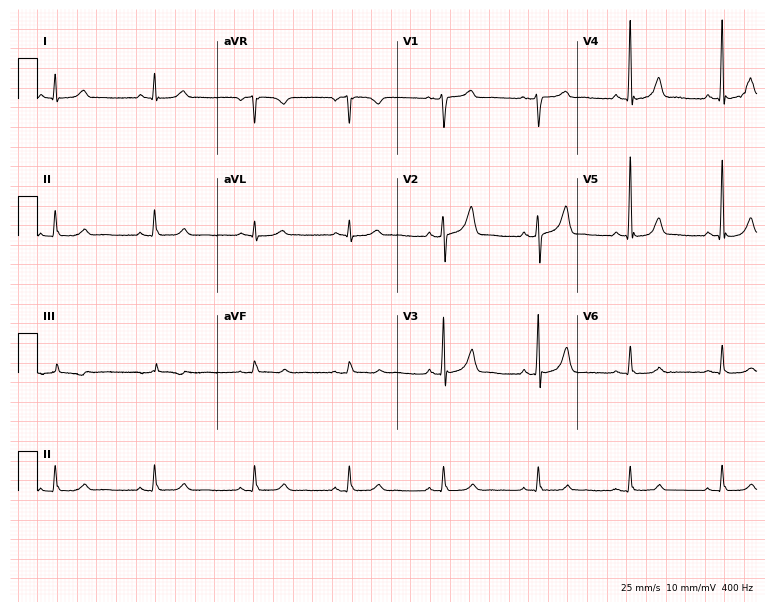
12-lead ECG from a male, 56 years old. Recorded interpretation: within normal limits.